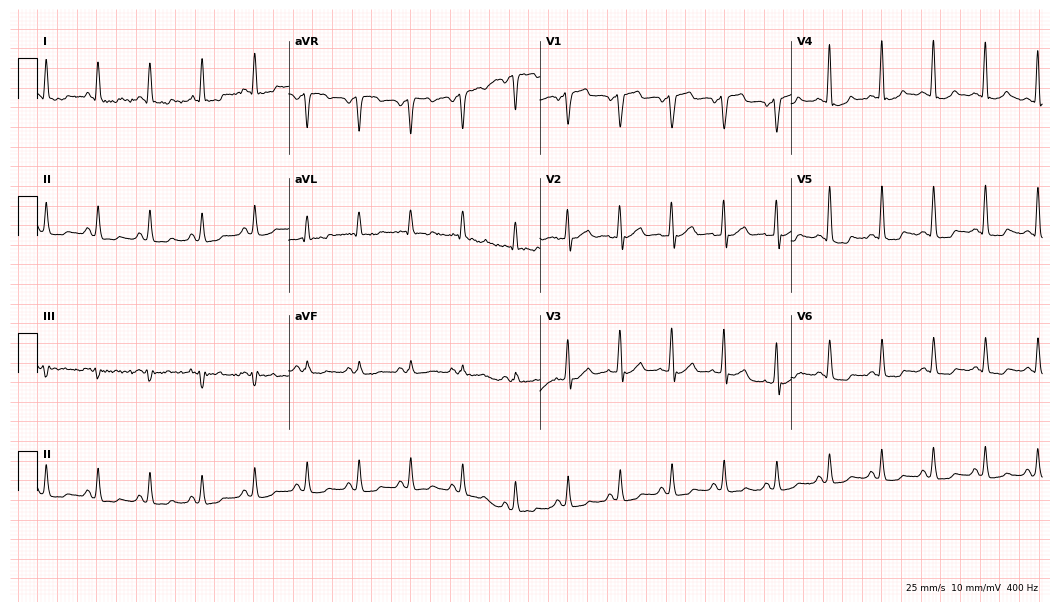
Standard 12-lead ECG recorded from a 66-year-old man. The tracing shows sinus tachycardia (a sinus rate of 100 beats per minute or more).